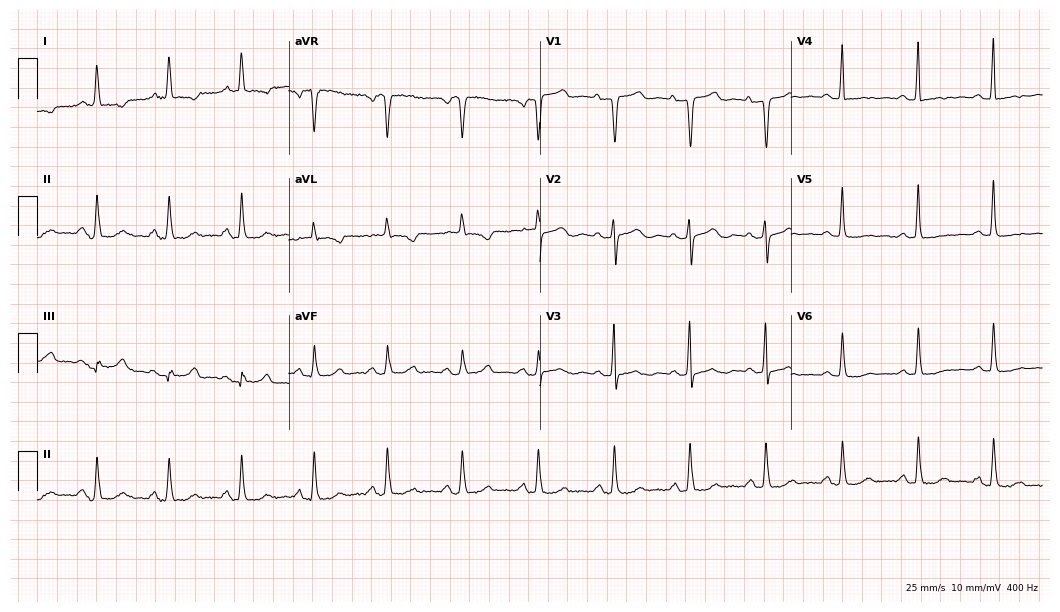
Standard 12-lead ECG recorded from a 78-year-old female. None of these six findings is recorded: first-degree AV block, right bundle branch block (RBBB), left bundle branch block (LBBB), sinus bradycardia, atrial fibrillation (AF), sinus tachycardia.